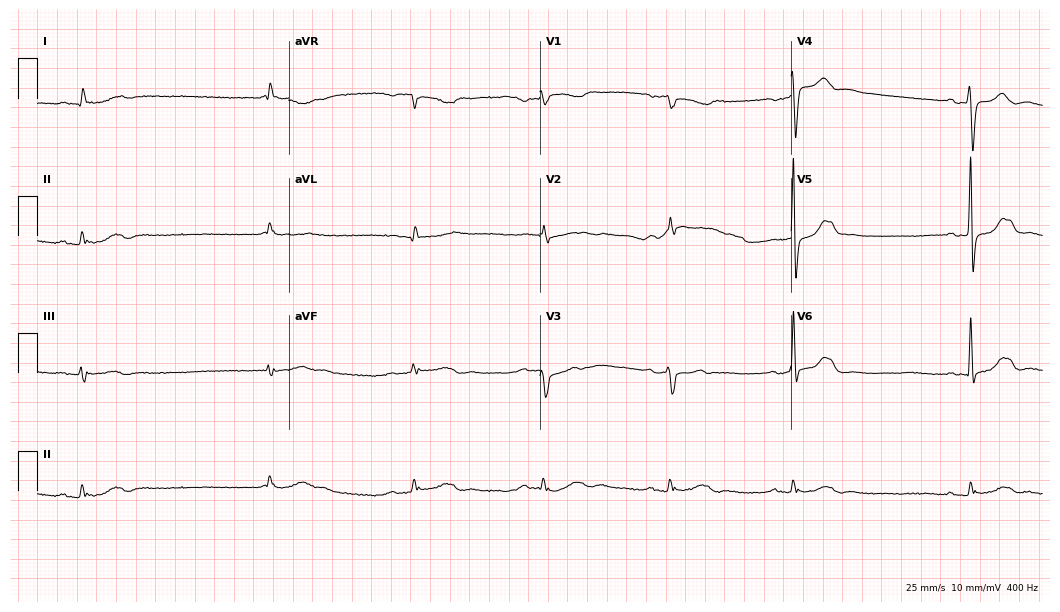
Standard 12-lead ECG recorded from a 76-year-old female patient. The tracing shows sinus bradycardia (a sinus rate of 50 beats per minute or less).